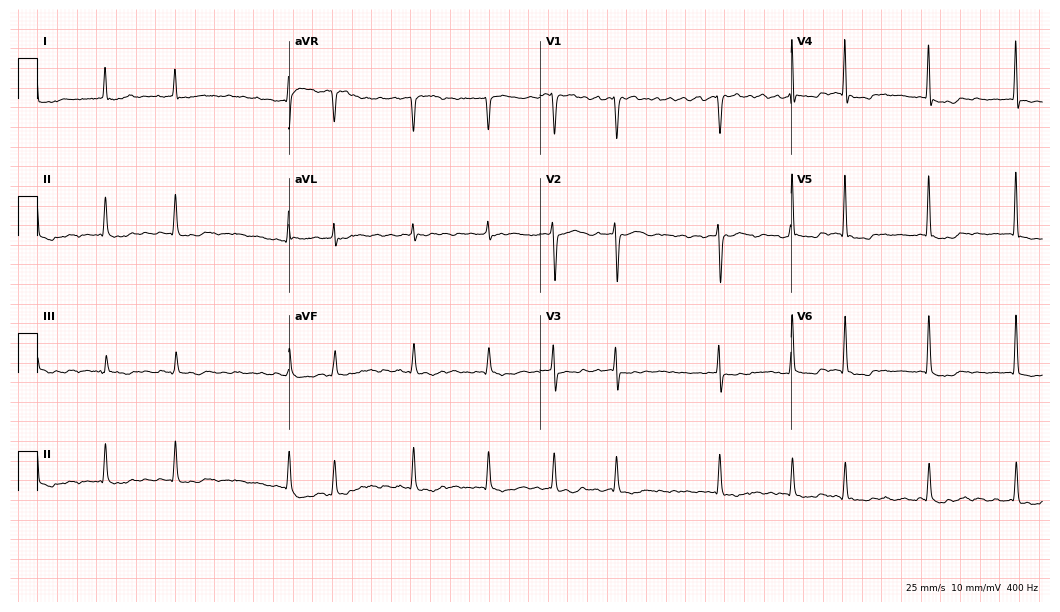
ECG — a 75-year-old woman. Findings include atrial fibrillation.